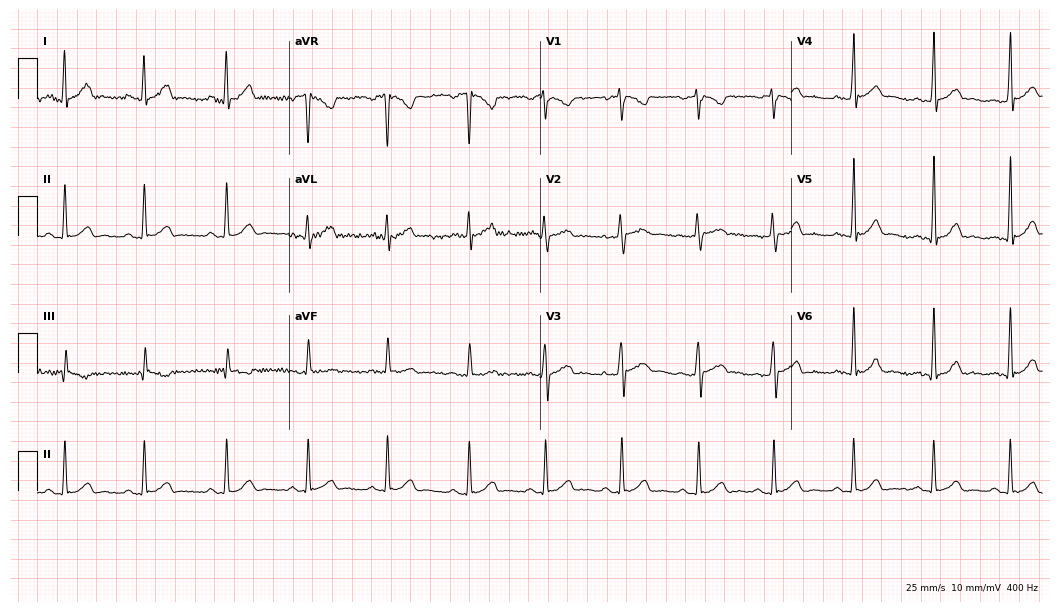
Electrocardiogram (10.2-second recording at 400 Hz), a 26-year-old female patient. Overall reading on record: normal ECG.